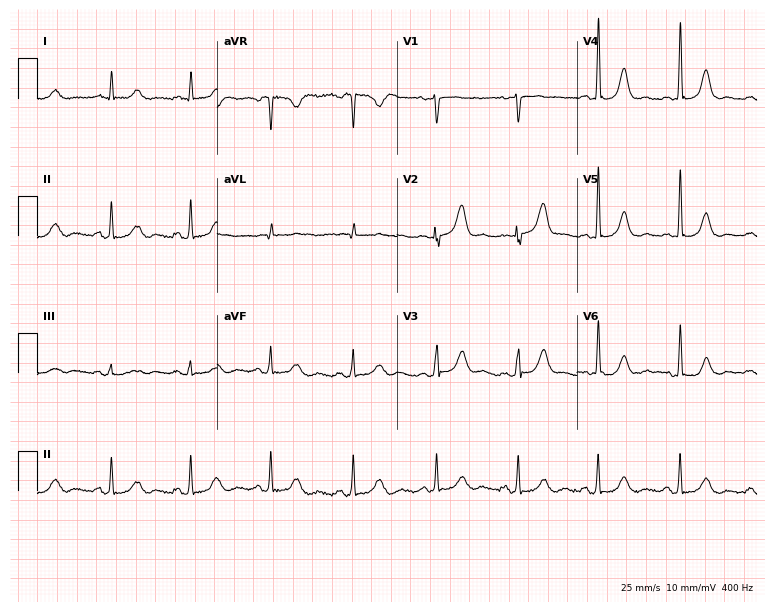
Resting 12-lead electrocardiogram. Patient: a female, 52 years old. Read as a normal ECG.